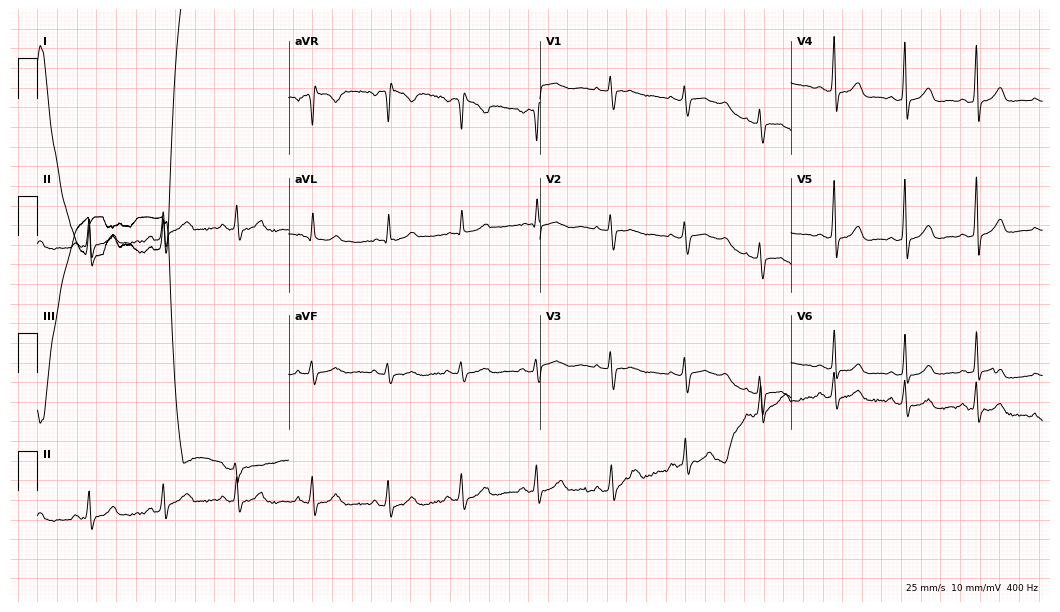
Electrocardiogram (10.2-second recording at 400 Hz), a female, 44 years old. Of the six screened findings (first-degree AV block, right bundle branch block, left bundle branch block, sinus bradycardia, atrial fibrillation, sinus tachycardia), none is recorded. Findings outside these six are not listed.